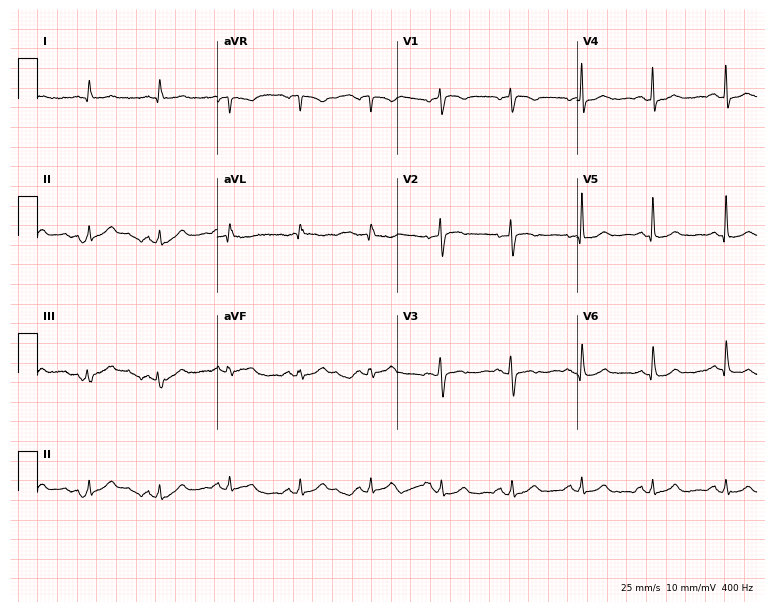
12-lead ECG (7.3-second recording at 400 Hz) from a 47-year-old female patient. Screened for six findings — first-degree AV block, right bundle branch block, left bundle branch block, sinus bradycardia, atrial fibrillation, sinus tachycardia — none is recorded. Only these six findings were labelled.